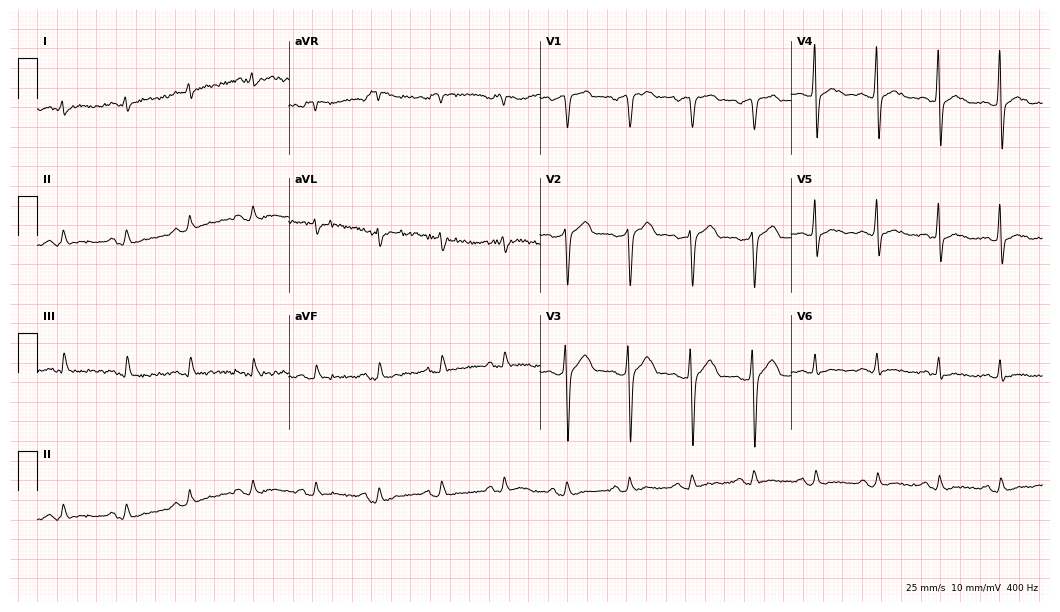
12-lead ECG from a 54-year-old man. No first-degree AV block, right bundle branch block (RBBB), left bundle branch block (LBBB), sinus bradycardia, atrial fibrillation (AF) or sinus tachycardia recorded for this tracing. Other findings, if any, are not listed.